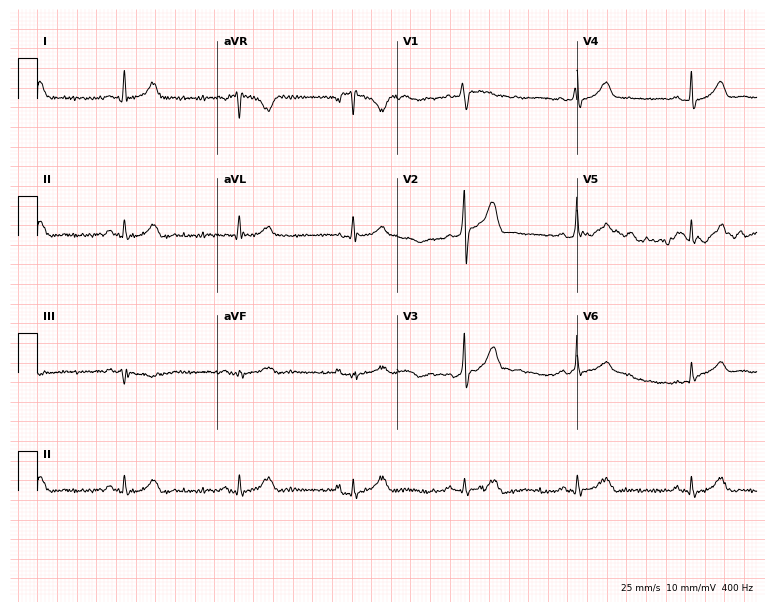
ECG (7.3-second recording at 400 Hz) — a 46-year-old male. Screened for six findings — first-degree AV block, right bundle branch block, left bundle branch block, sinus bradycardia, atrial fibrillation, sinus tachycardia — none is recorded. Findings outside these six are not listed.